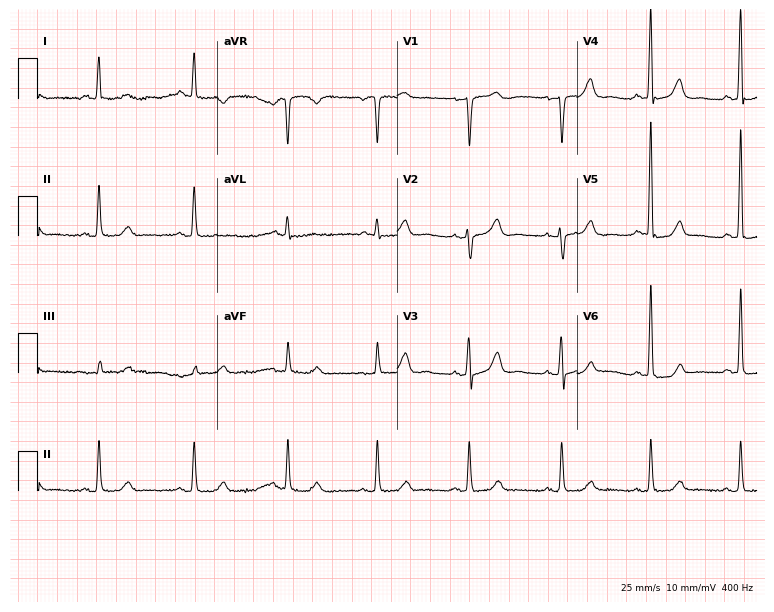
12-lead ECG from a 71-year-old female patient. Recorded interpretation: within normal limits.